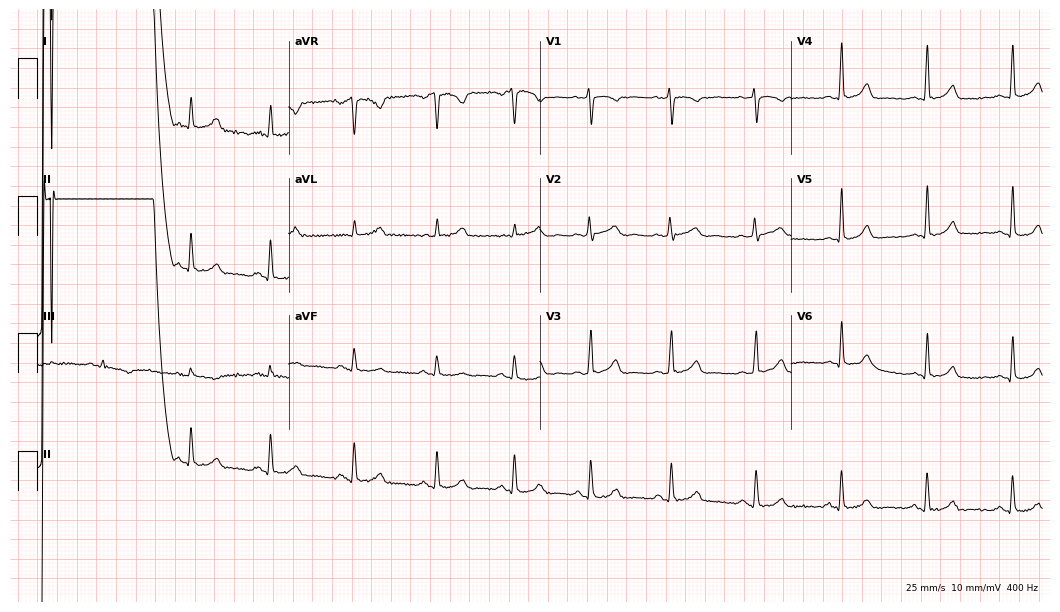
ECG (10.2-second recording at 400 Hz) — a 45-year-old female. Labelled as a normal ECG.